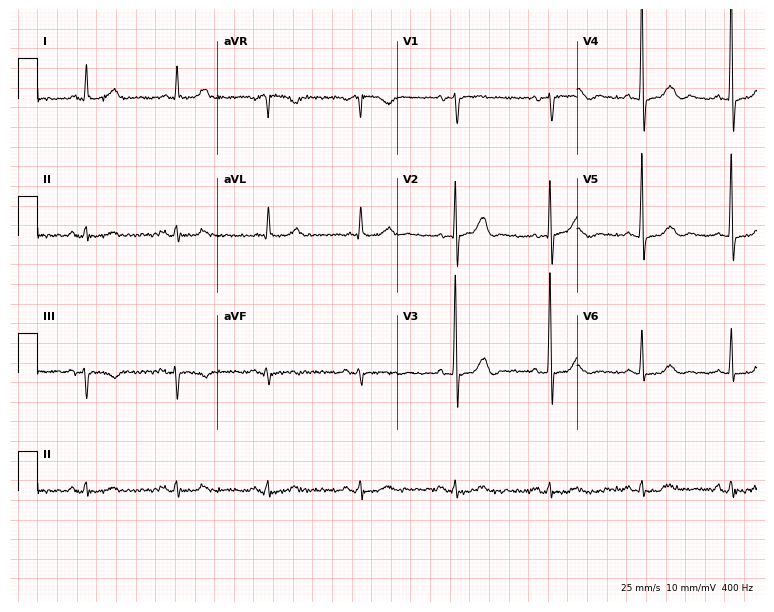
ECG (7.3-second recording at 400 Hz) — a male, 65 years old. Labelled as a normal ECG.